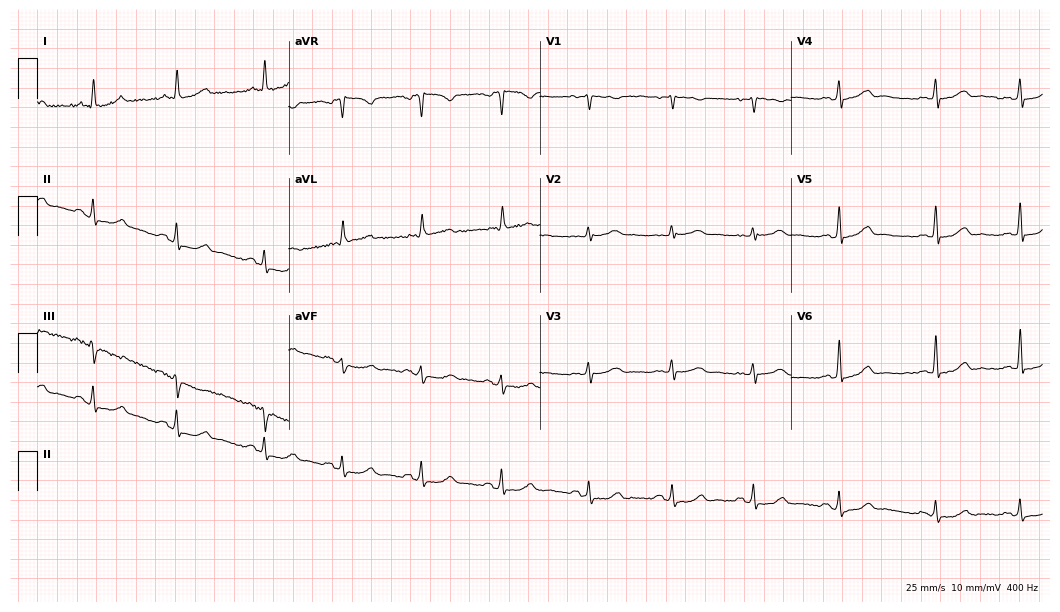
Standard 12-lead ECG recorded from a 46-year-old woman (10.2-second recording at 400 Hz). None of these six findings is recorded: first-degree AV block, right bundle branch block, left bundle branch block, sinus bradycardia, atrial fibrillation, sinus tachycardia. Findings outside these six are not listed.